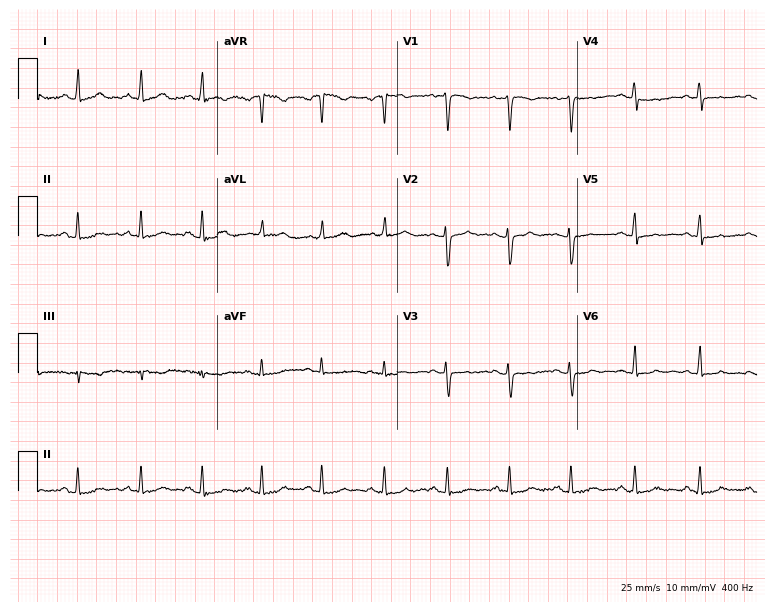
12-lead ECG (7.3-second recording at 400 Hz) from a 37-year-old woman. Screened for six findings — first-degree AV block, right bundle branch block, left bundle branch block, sinus bradycardia, atrial fibrillation, sinus tachycardia — none is recorded. Only these six findings were labelled.